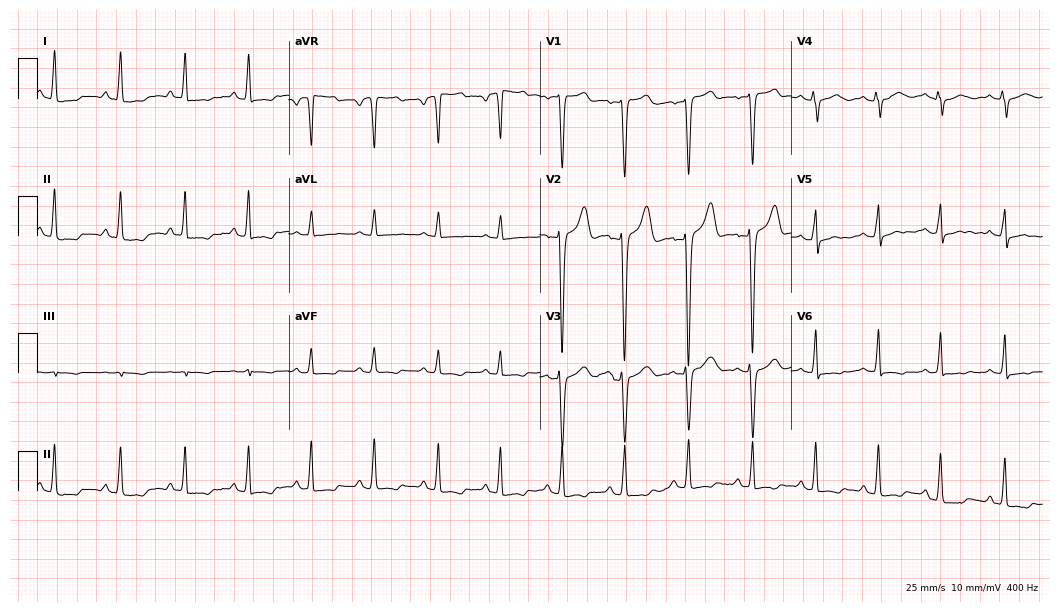
Standard 12-lead ECG recorded from a 41-year-old woman (10.2-second recording at 400 Hz). None of these six findings is recorded: first-degree AV block, right bundle branch block (RBBB), left bundle branch block (LBBB), sinus bradycardia, atrial fibrillation (AF), sinus tachycardia.